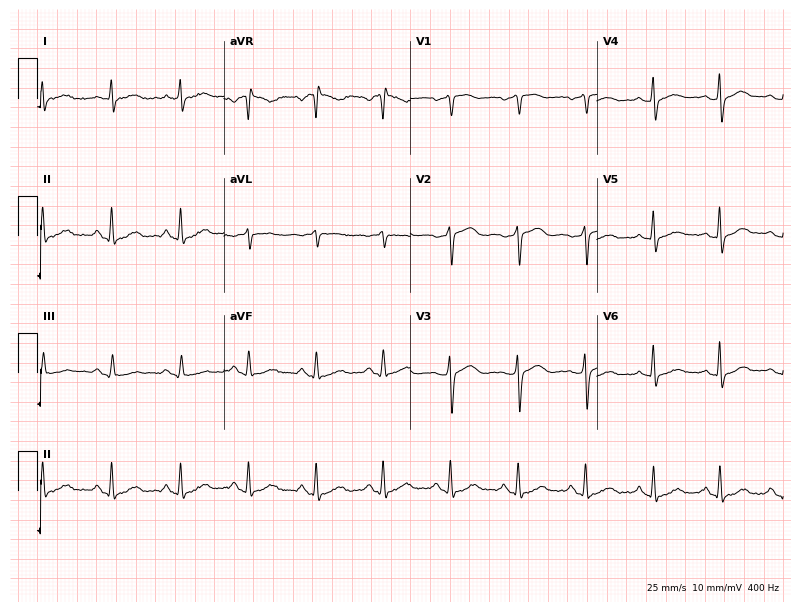
12-lead ECG from a woman, 63 years old. Labelled as a normal ECG.